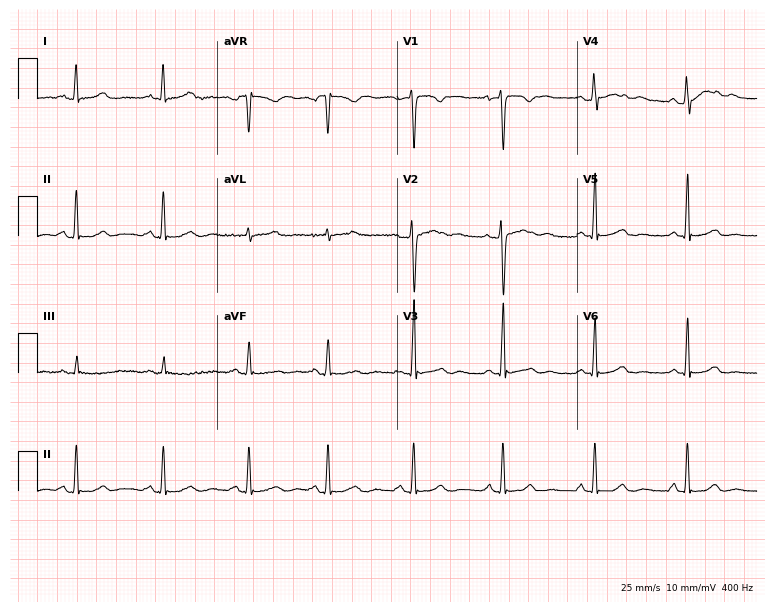
Resting 12-lead electrocardiogram. Patient: a 24-year-old female. Read as a normal ECG.